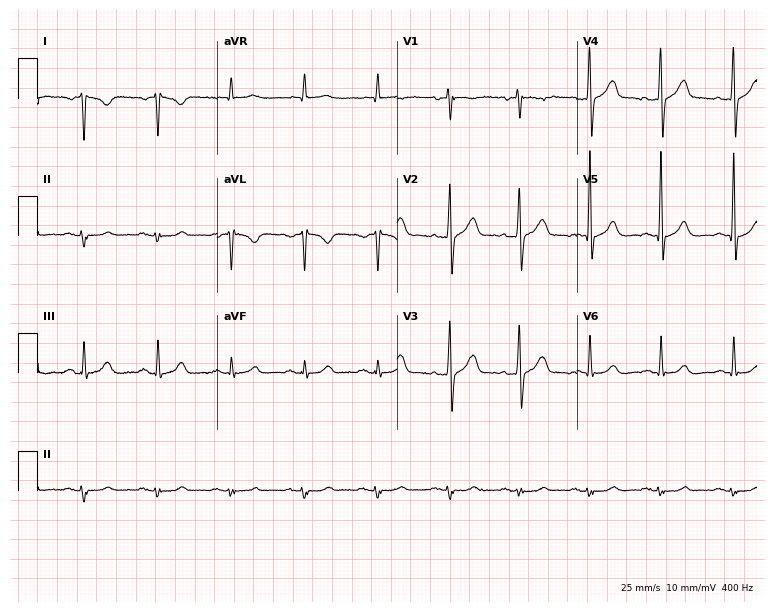
Standard 12-lead ECG recorded from a 51-year-old male patient (7.3-second recording at 400 Hz). None of these six findings is recorded: first-degree AV block, right bundle branch block (RBBB), left bundle branch block (LBBB), sinus bradycardia, atrial fibrillation (AF), sinus tachycardia. Other findings, if any, are not listed.